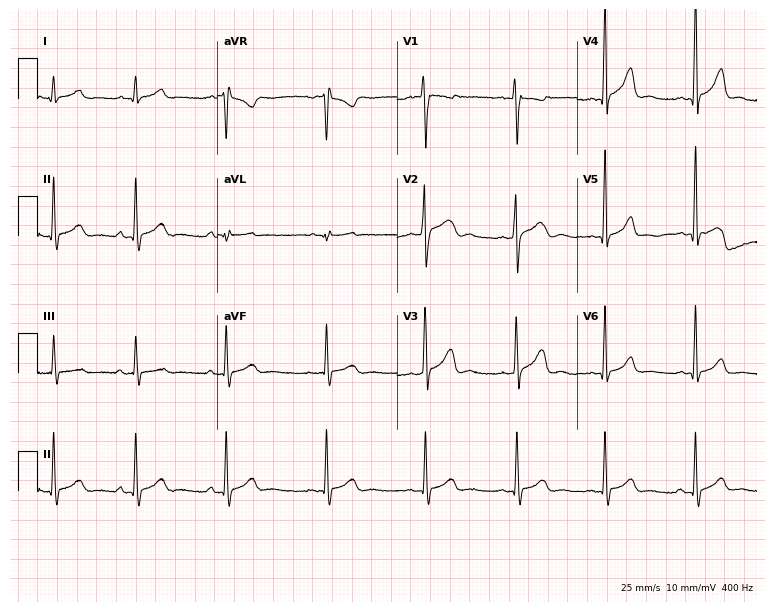
Electrocardiogram (7.3-second recording at 400 Hz), a man, 17 years old. Overall reading on record: normal ECG.